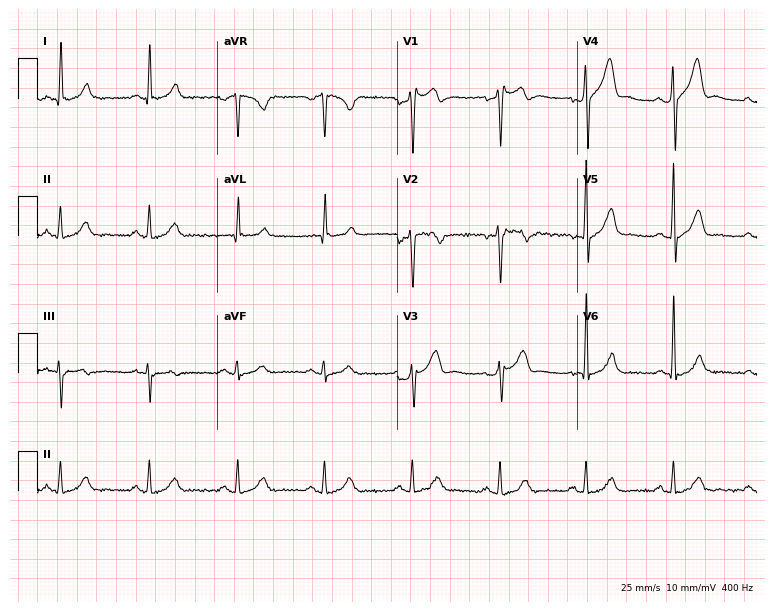
Electrocardiogram, a 50-year-old male patient. Overall reading on record: normal ECG.